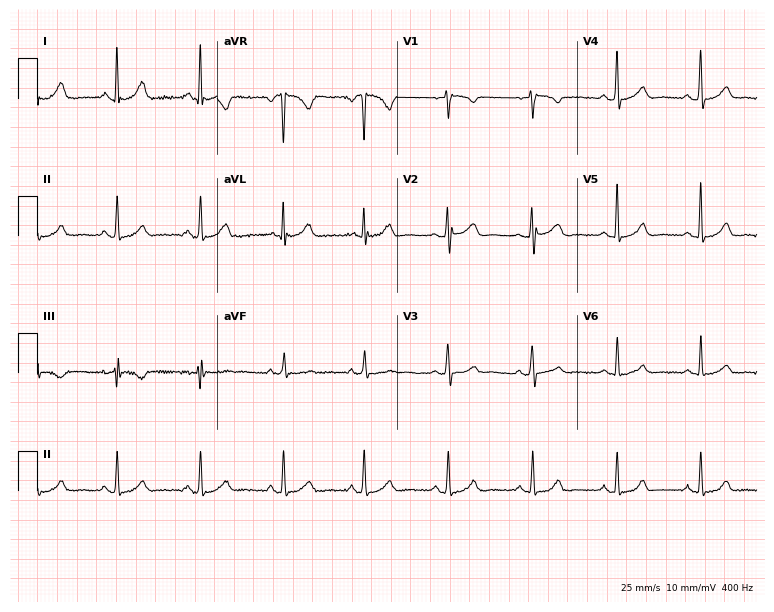
Resting 12-lead electrocardiogram (7.3-second recording at 400 Hz). Patient: a female, 53 years old. Read as a normal ECG.